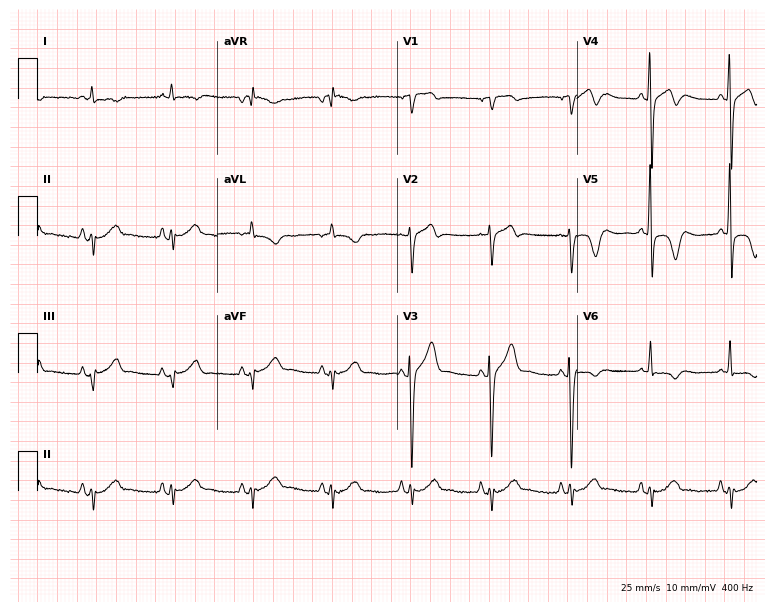
12-lead ECG from a 74-year-old man. Screened for six findings — first-degree AV block, right bundle branch block, left bundle branch block, sinus bradycardia, atrial fibrillation, sinus tachycardia — none is recorded.